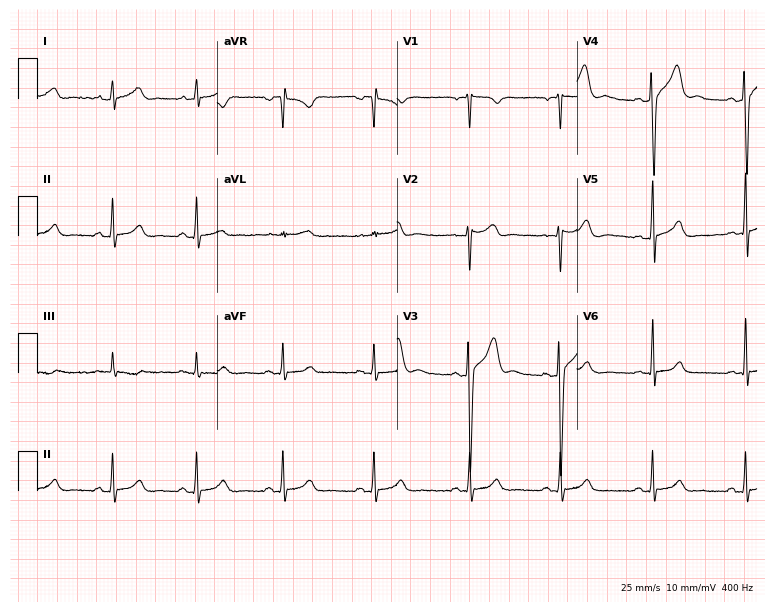
Resting 12-lead electrocardiogram. Patient: a male, 21 years old. Read as a normal ECG.